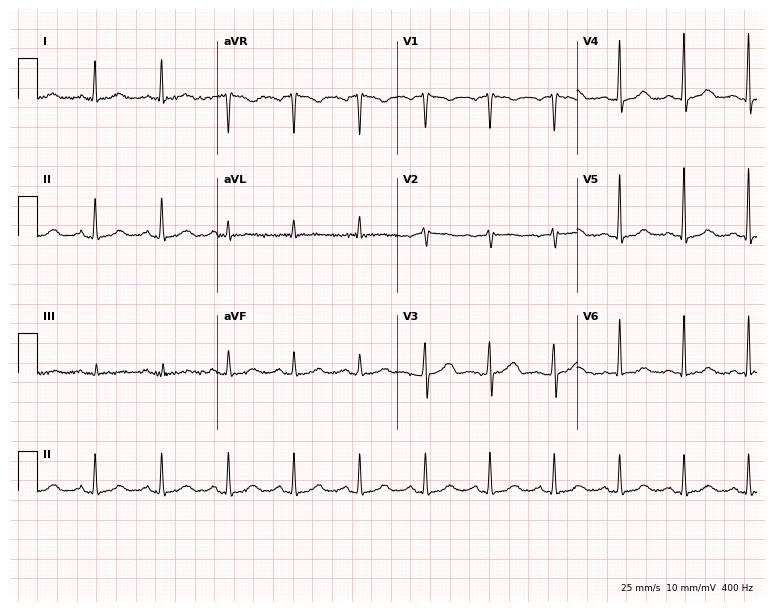
Standard 12-lead ECG recorded from a woman, 36 years old. None of these six findings is recorded: first-degree AV block, right bundle branch block, left bundle branch block, sinus bradycardia, atrial fibrillation, sinus tachycardia. Findings outside these six are not listed.